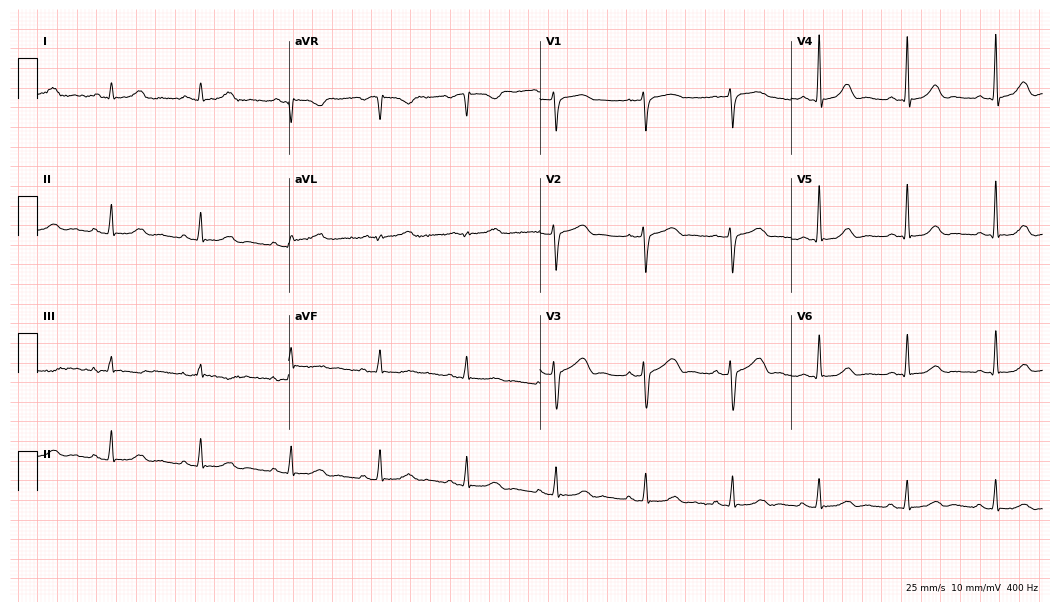
ECG — a 45-year-old female patient. Labelled as a normal ECG.